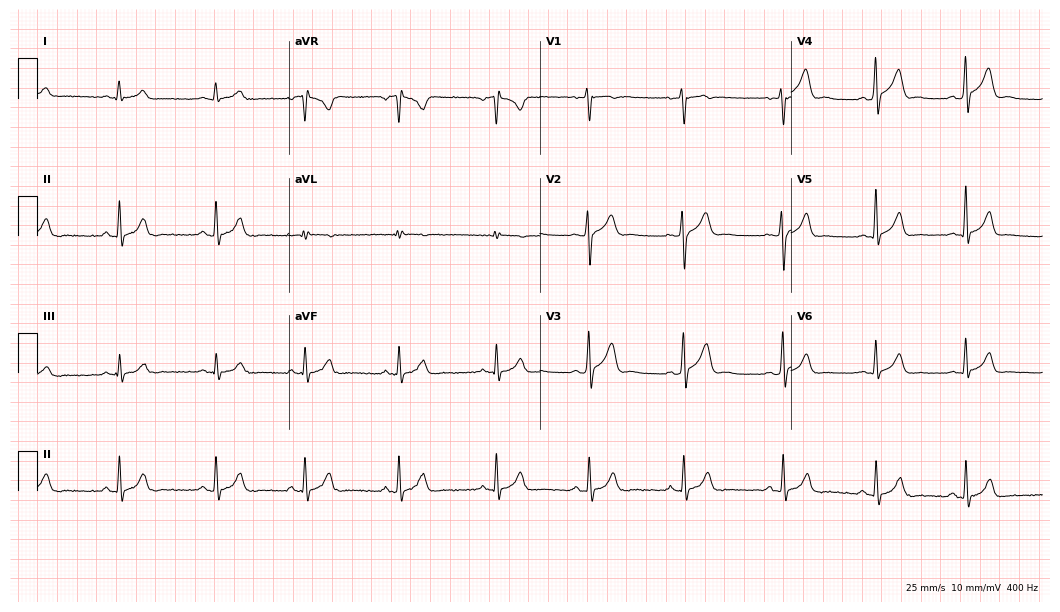
Standard 12-lead ECG recorded from a 26-year-old male patient (10.2-second recording at 400 Hz). Read as a normal ECG.